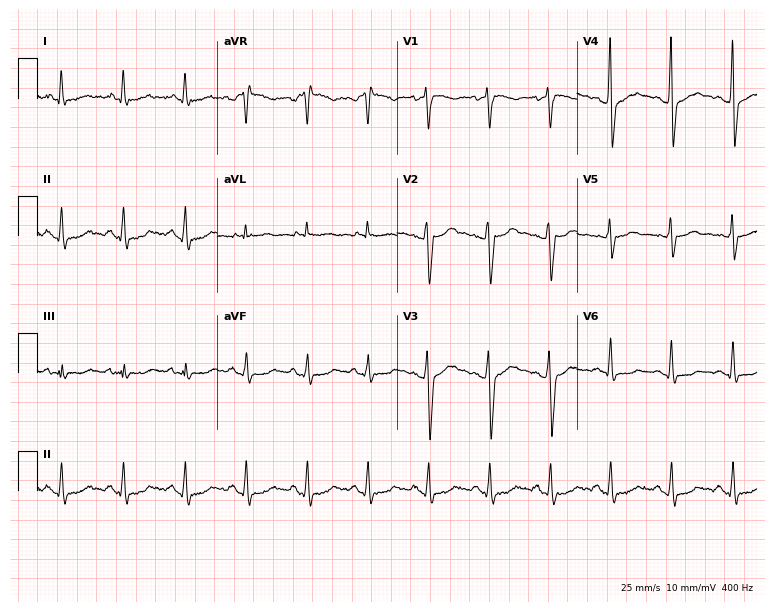
Standard 12-lead ECG recorded from a male, 40 years old (7.3-second recording at 400 Hz). None of these six findings is recorded: first-degree AV block, right bundle branch block (RBBB), left bundle branch block (LBBB), sinus bradycardia, atrial fibrillation (AF), sinus tachycardia. Only these six findings were labelled.